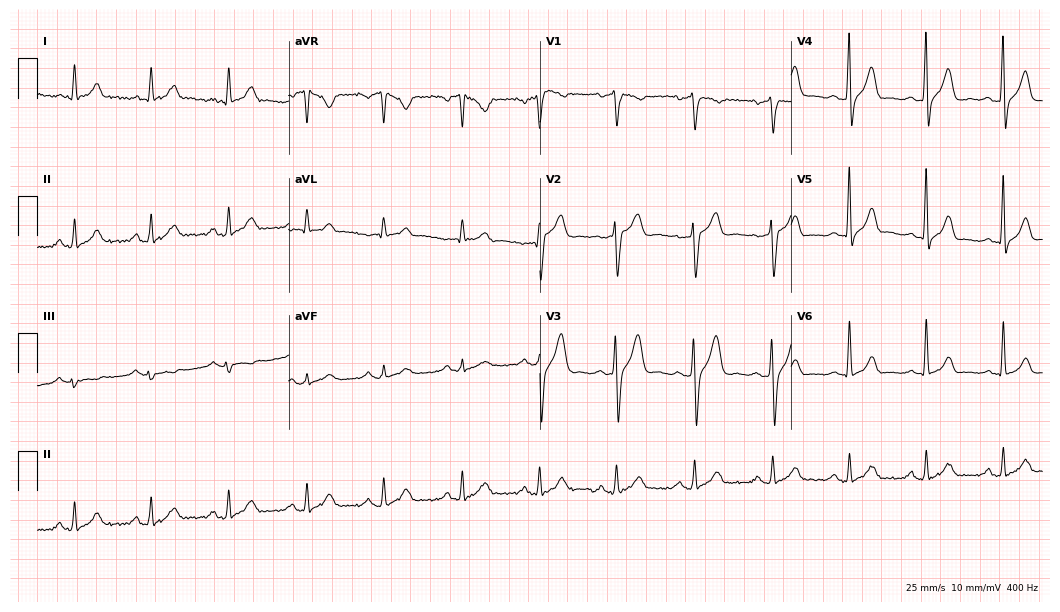
Electrocardiogram, a 58-year-old man. Overall reading on record: normal ECG.